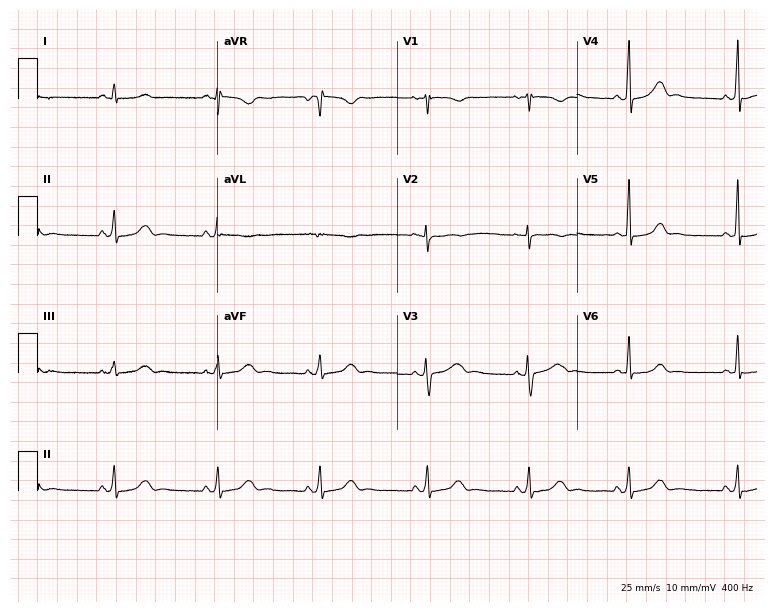
12-lead ECG from a 21-year-old woman. Recorded interpretation: within normal limits.